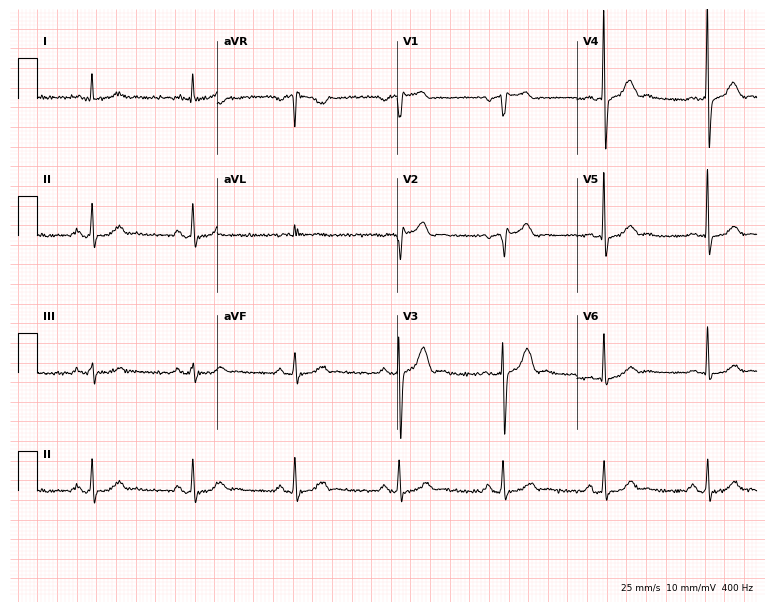
Resting 12-lead electrocardiogram. Patient: a male, 50 years old. None of these six findings is recorded: first-degree AV block, right bundle branch block, left bundle branch block, sinus bradycardia, atrial fibrillation, sinus tachycardia. Only these six findings were labelled.